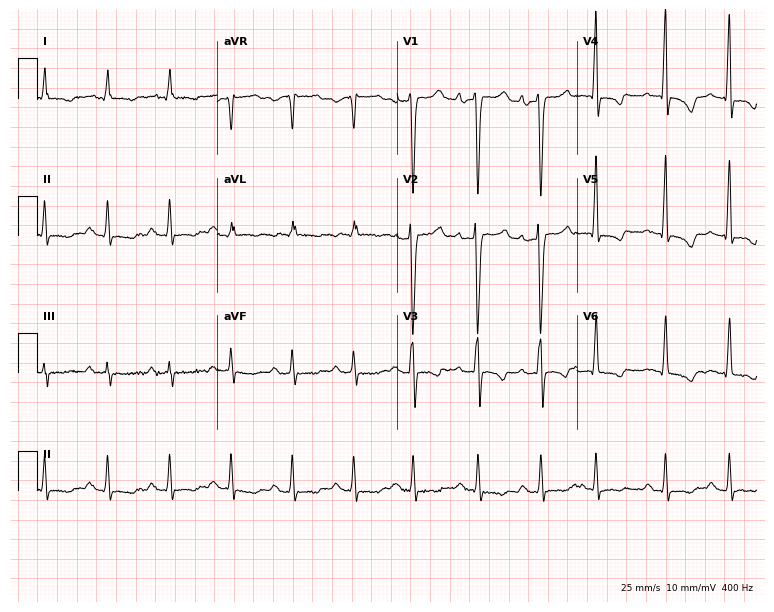
12-lead ECG from a woman, 57 years old. Screened for six findings — first-degree AV block, right bundle branch block, left bundle branch block, sinus bradycardia, atrial fibrillation, sinus tachycardia — none is recorded. Only these six findings were labelled.